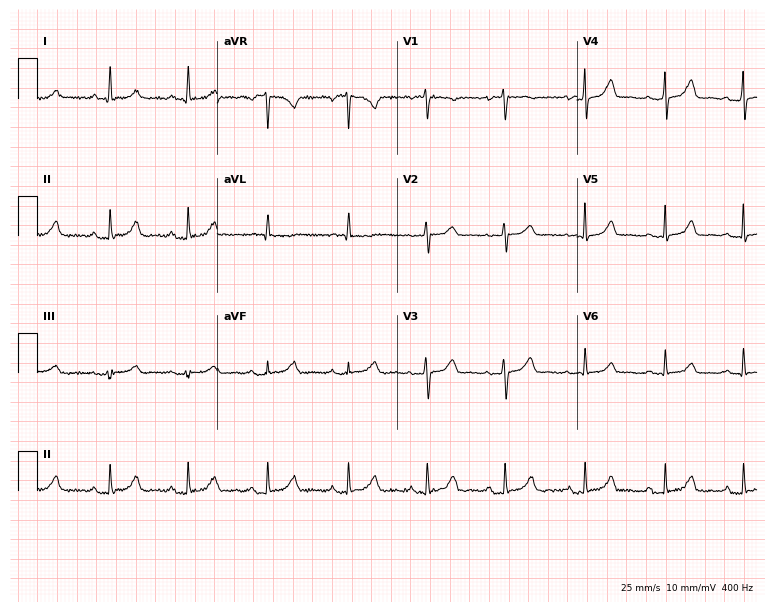
Electrocardiogram (7.3-second recording at 400 Hz), a female, 70 years old. Overall reading on record: normal ECG.